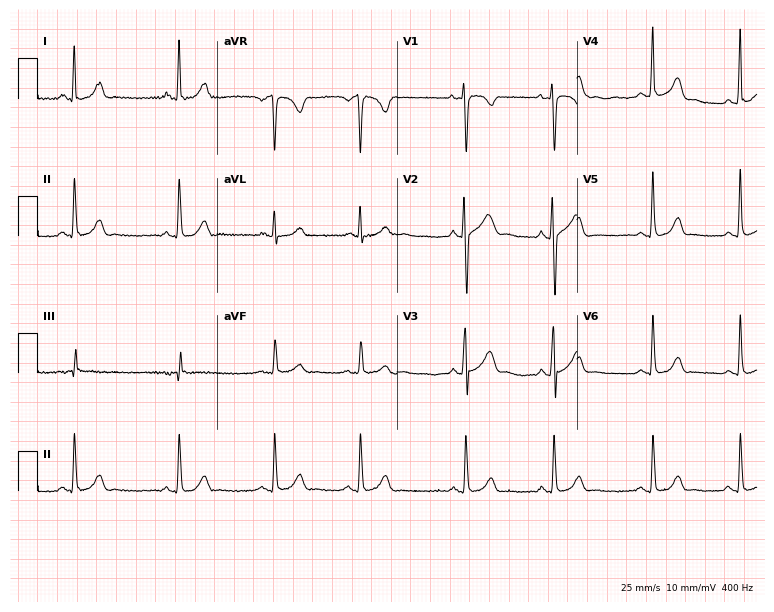
12-lead ECG from a woman, 17 years old. Labelled as a normal ECG.